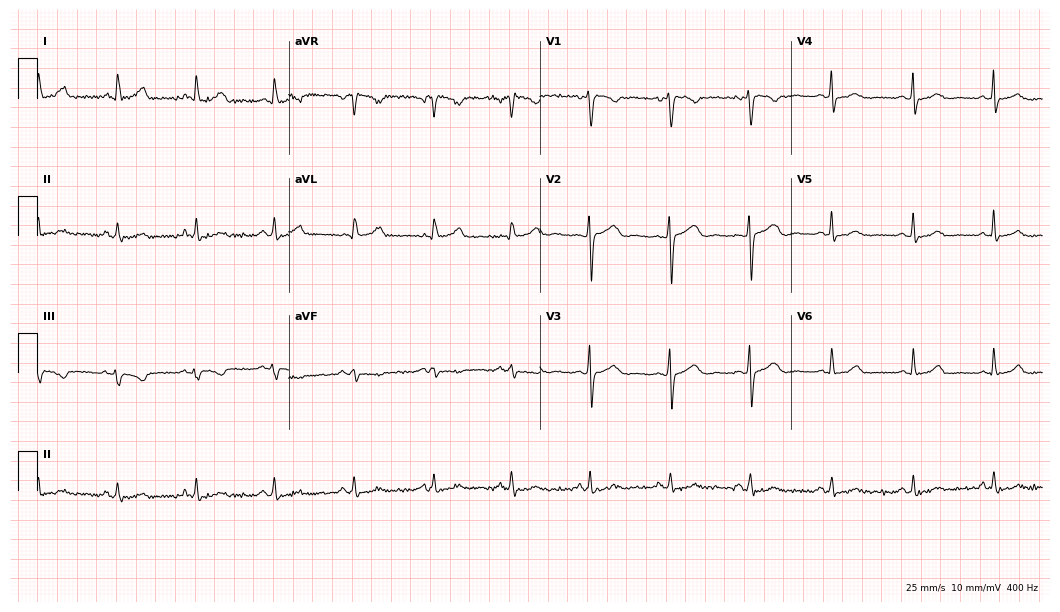
12-lead ECG from a woman, 39 years old (10.2-second recording at 400 Hz). No first-degree AV block, right bundle branch block (RBBB), left bundle branch block (LBBB), sinus bradycardia, atrial fibrillation (AF) or sinus tachycardia recorded for this tracing.